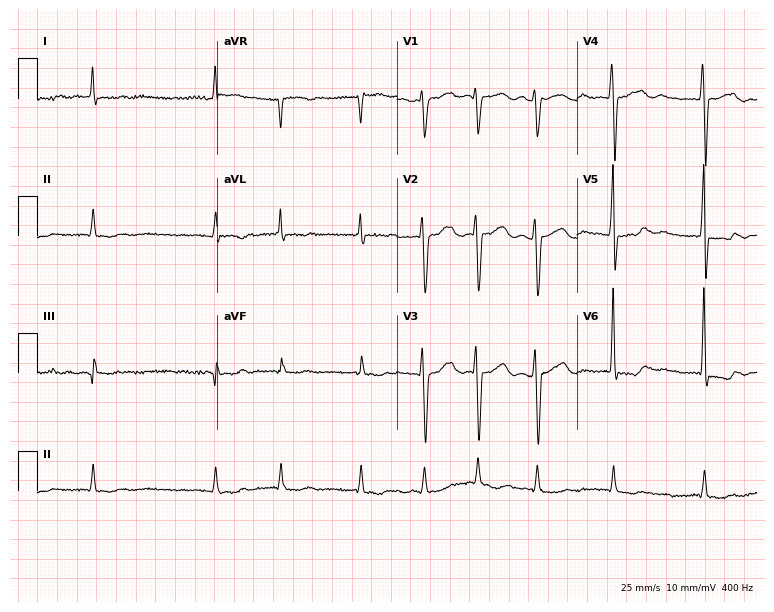
12-lead ECG from a male, 71 years old. Findings include atrial fibrillation.